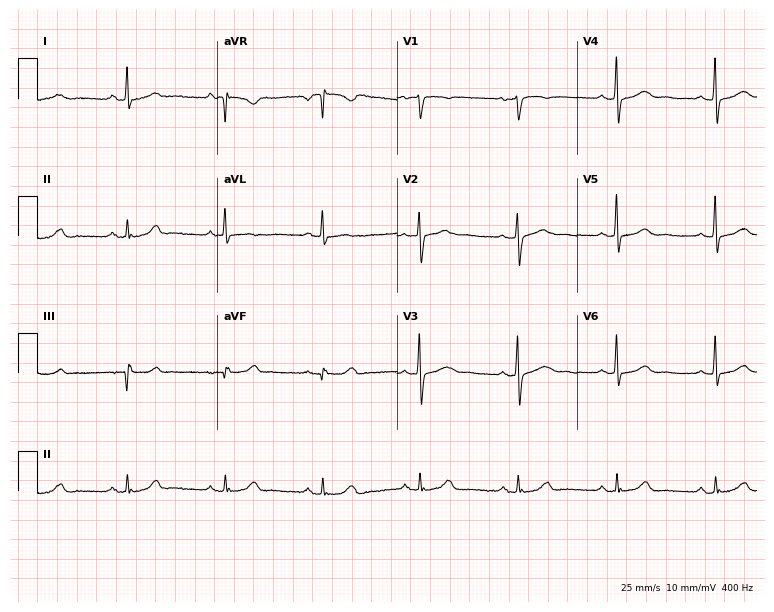
Standard 12-lead ECG recorded from a female patient, 39 years old. None of these six findings is recorded: first-degree AV block, right bundle branch block (RBBB), left bundle branch block (LBBB), sinus bradycardia, atrial fibrillation (AF), sinus tachycardia.